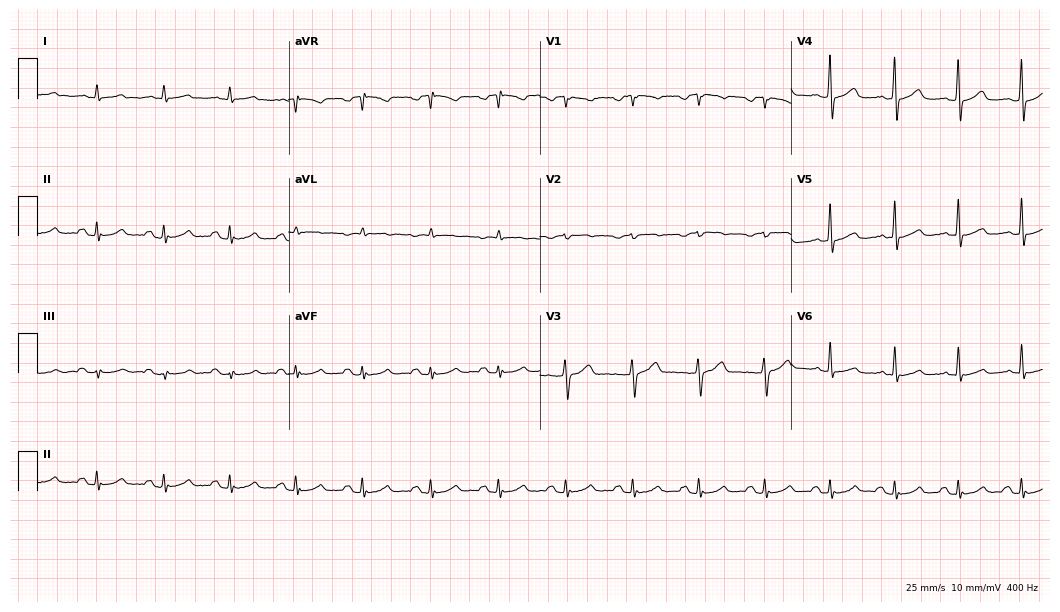
Standard 12-lead ECG recorded from a 59-year-old male. Read as a normal ECG.